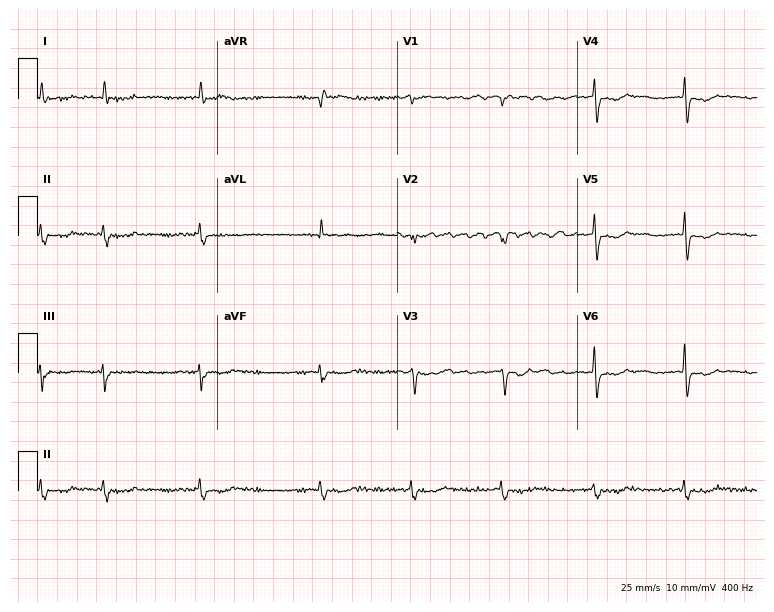
12-lead ECG from a woman, 74 years old. Shows atrial fibrillation (AF).